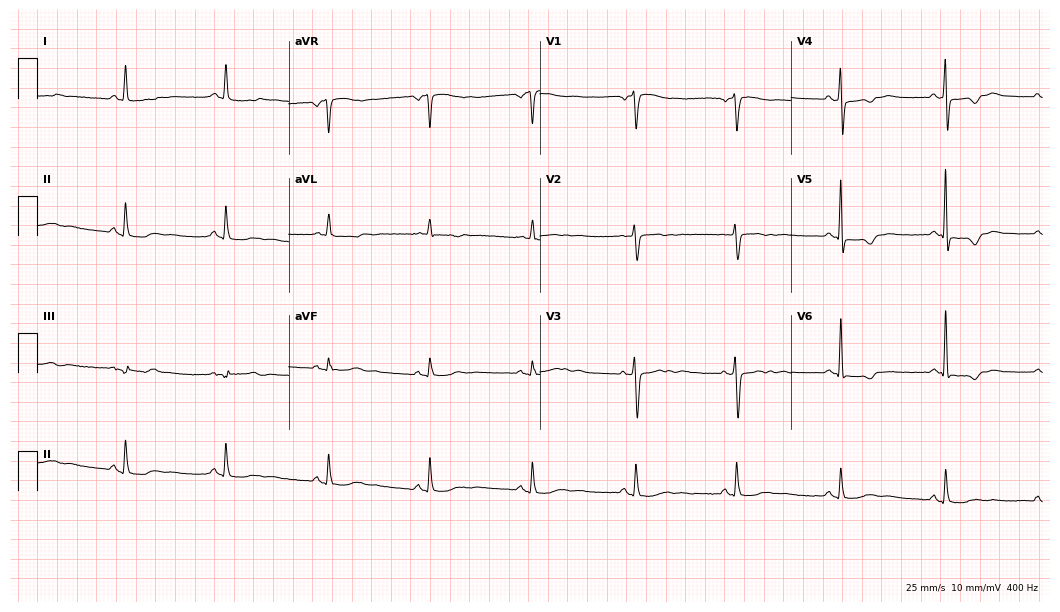
Electrocardiogram (10.2-second recording at 400 Hz), a 71-year-old female patient. Of the six screened findings (first-degree AV block, right bundle branch block (RBBB), left bundle branch block (LBBB), sinus bradycardia, atrial fibrillation (AF), sinus tachycardia), none is recorded.